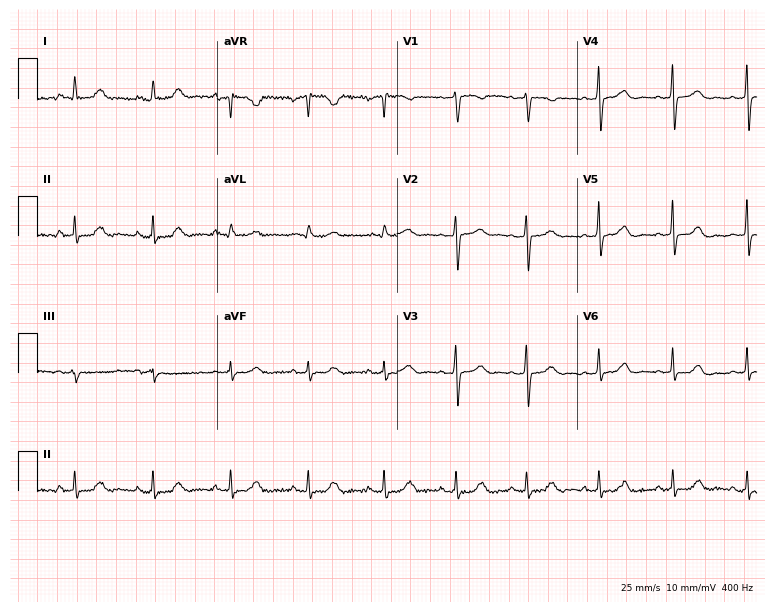
Electrocardiogram (7.3-second recording at 400 Hz), a 64-year-old female. Of the six screened findings (first-degree AV block, right bundle branch block (RBBB), left bundle branch block (LBBB), sinus bradycardia, atrial fibrillation (AF), sinus tachycardia), none is recorded. Other findings, if any, are not listed.